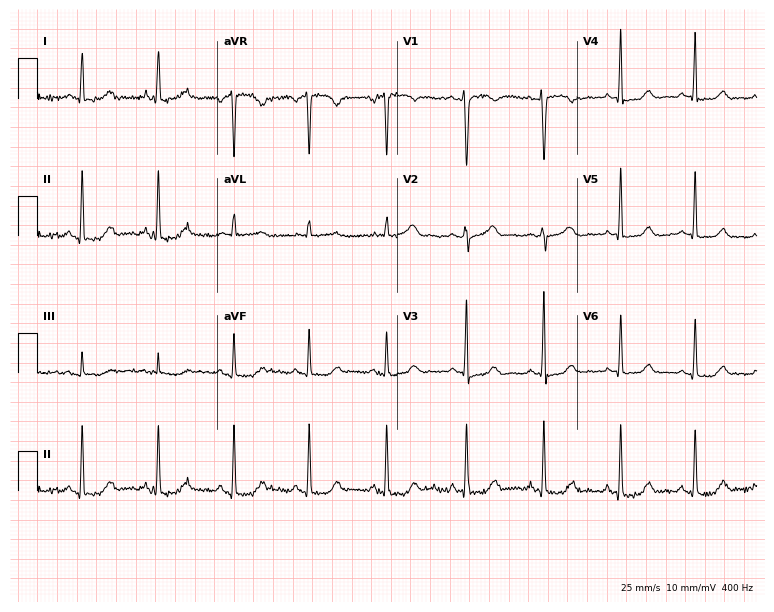
12-lead ECG from a 40-year-old female. Screened for six findings — first-degree AV block, right bundle branch block (RBBB), left bundle branch block (LBBB), sinus bradycardia, atrial fibrillation (AF), sinus tachycardia — none is recorded.